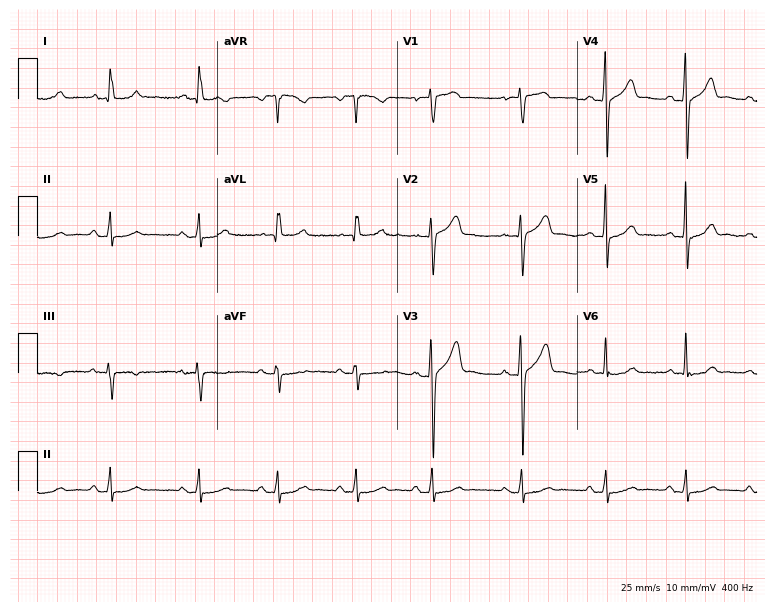
12-lead ECG from a 53-year-old male patient (7.3-second recording at 400 Hz). Recorded interpretation: within normal limits.